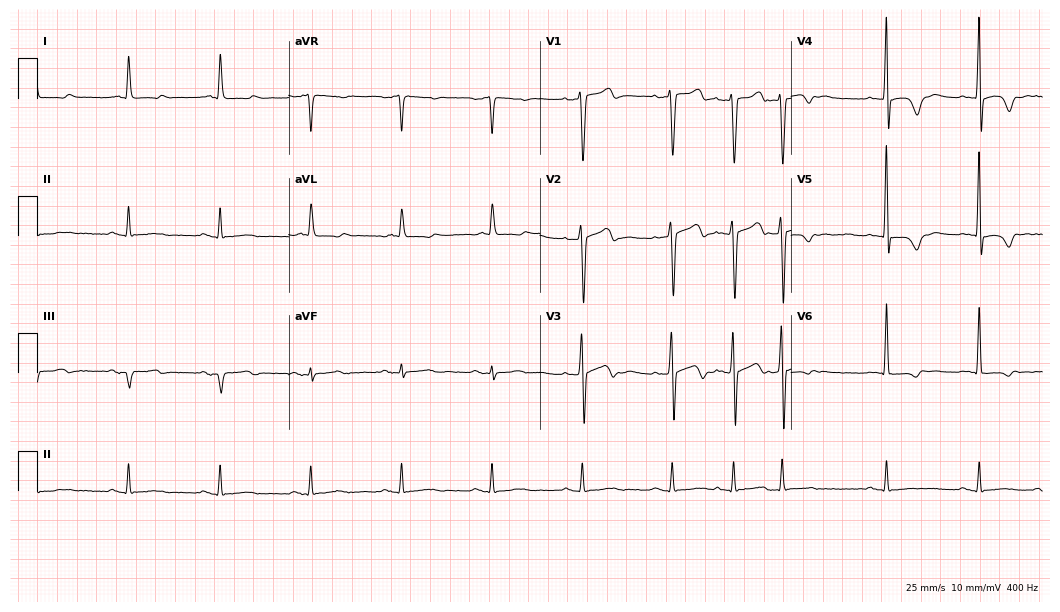
12-lead ECG from an 82-year-old male (10.2-second recording at 400 Hz). Recorded interpretation: within normal limits.